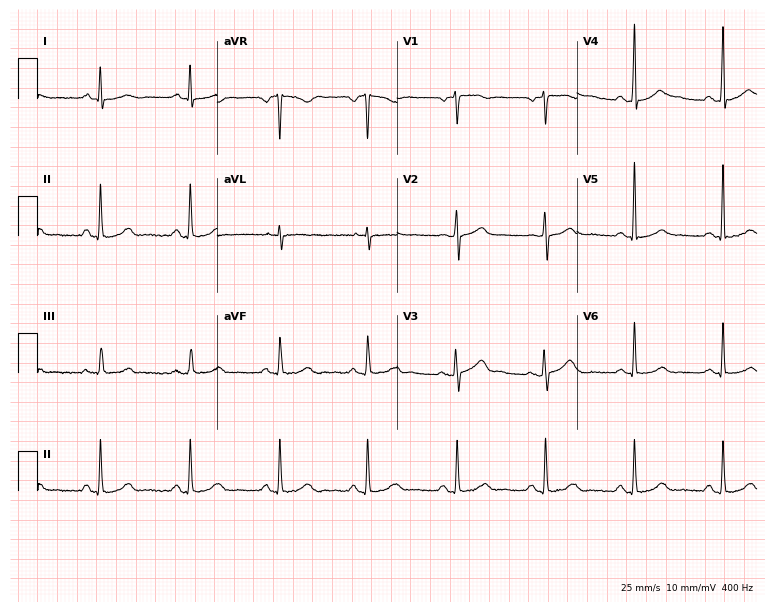
12-lead ECG from a 58-year-old woman. Recorded interpretation: within normal limits.